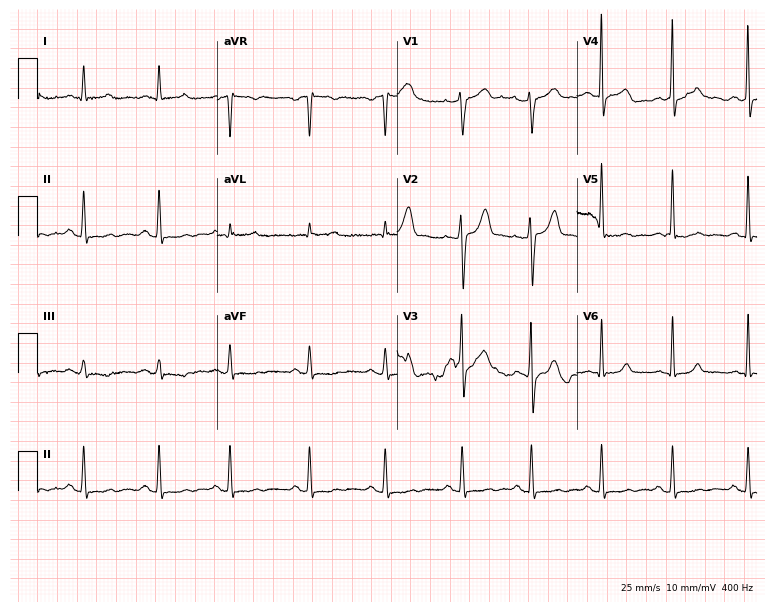
Electrocardiogram (7.3-second recording at 400 Hz), a male patient, 50 years old. Of the six screened findings (first-degree AV block, right bundle branch block, left bundle branch block, sinus bradycardia, atrial fibrillation, sinus tachycardia), none is recorded.